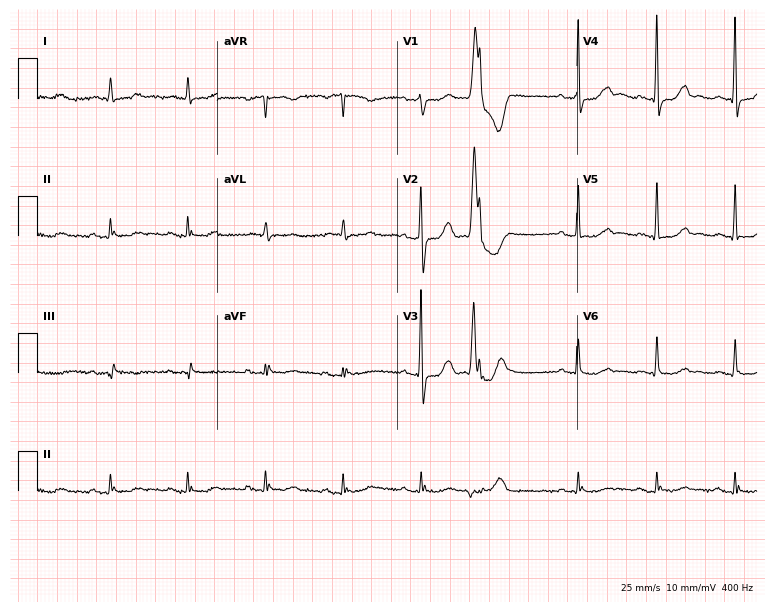
Electrocardiogram, a male patient, 81 years old. Overall reading on record: normal ECG.